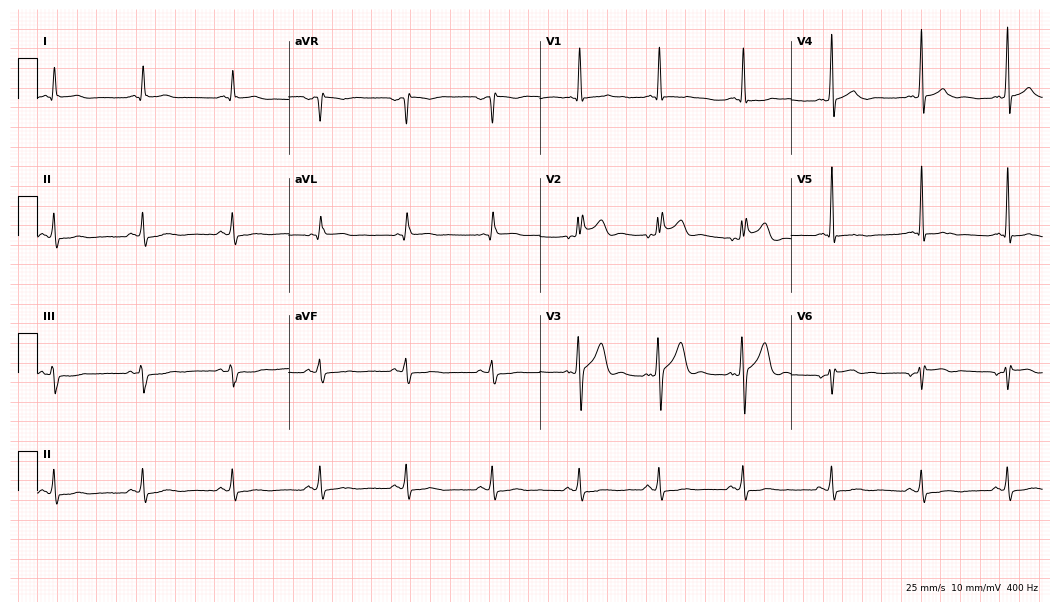
12-lead ECG from a male patient, 38 years old (10.2-second recording at 400 Hz). No first-degree AV block, right bundle branch block, left bundle branch block, sinus bradycardia, atrial fibrillation or sinus tachycardia recorded for this tracing.